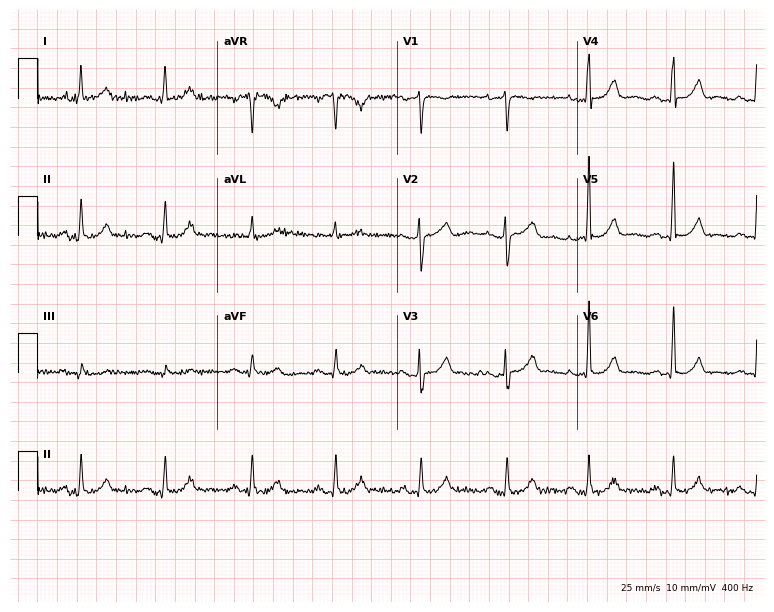
12-lead ECG from a female patient, 65 years old. Recorded interpretation: within normal limits.